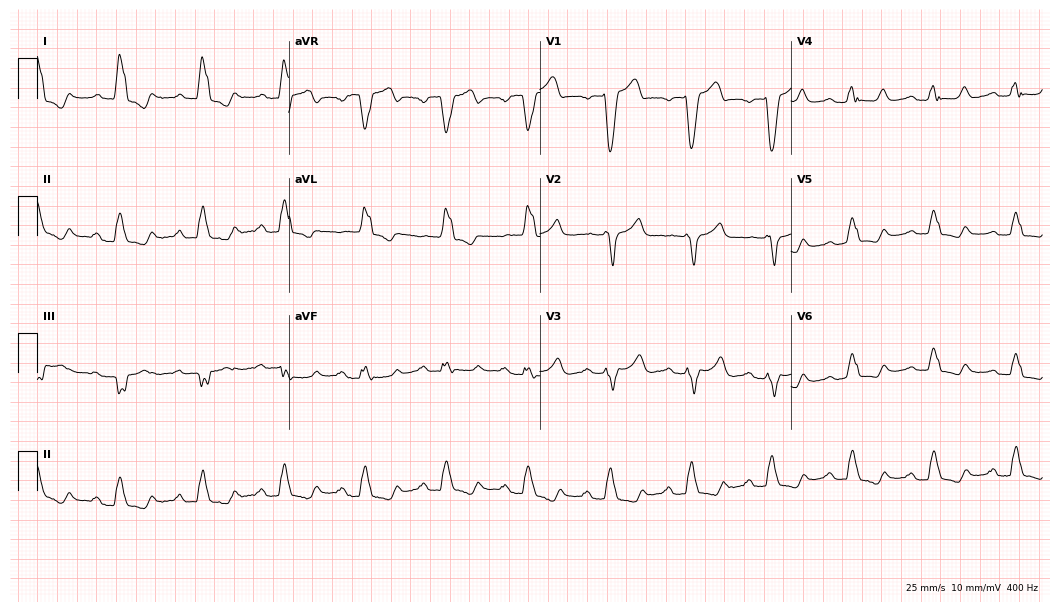
ECG (10.2-second recording at 400 Hz) — a woman, 81 years old. Findings include first-degree AV block, left bundle branch block.